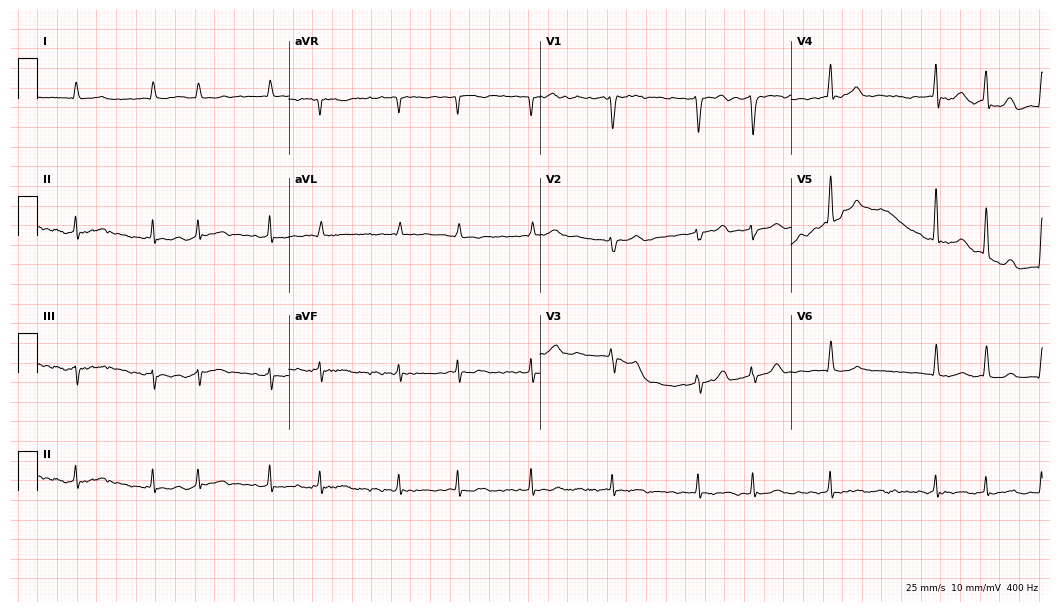
12-lead ECG from a male, 82 years old (10.2-second recording at 400 Hz). No first-degree AV block, right bundle branch block, left bundle branch block, sinus bradycardia, atrial fibrillation or sinus tachycardia recorded for this tracing. Other findings, if any, are not listed.